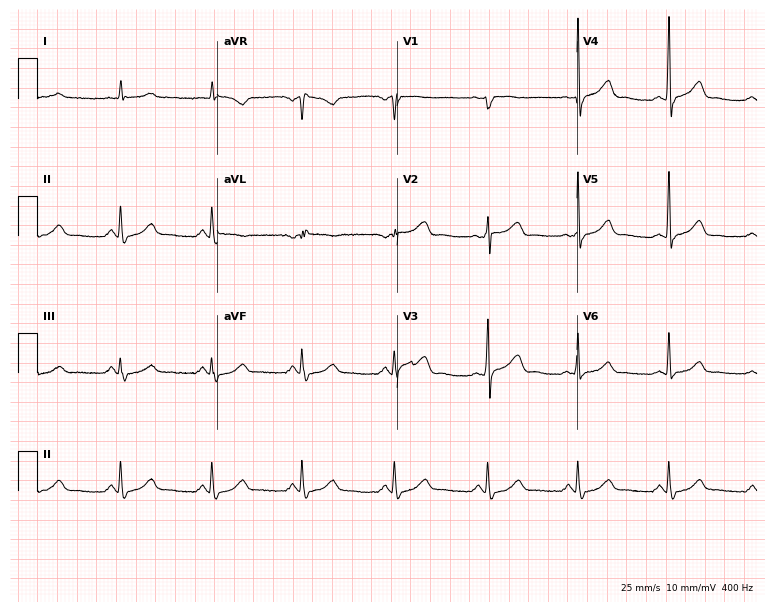
12-lead ECG (7.3-second recording at 400 Hz) from a 62-year-old female patient. Screened for six findings — first-degree AV block, right bundle branch block, left bundle branch block, sinus bradycardia, atrial fibrillation, sinus tachycardia — none is recorded.